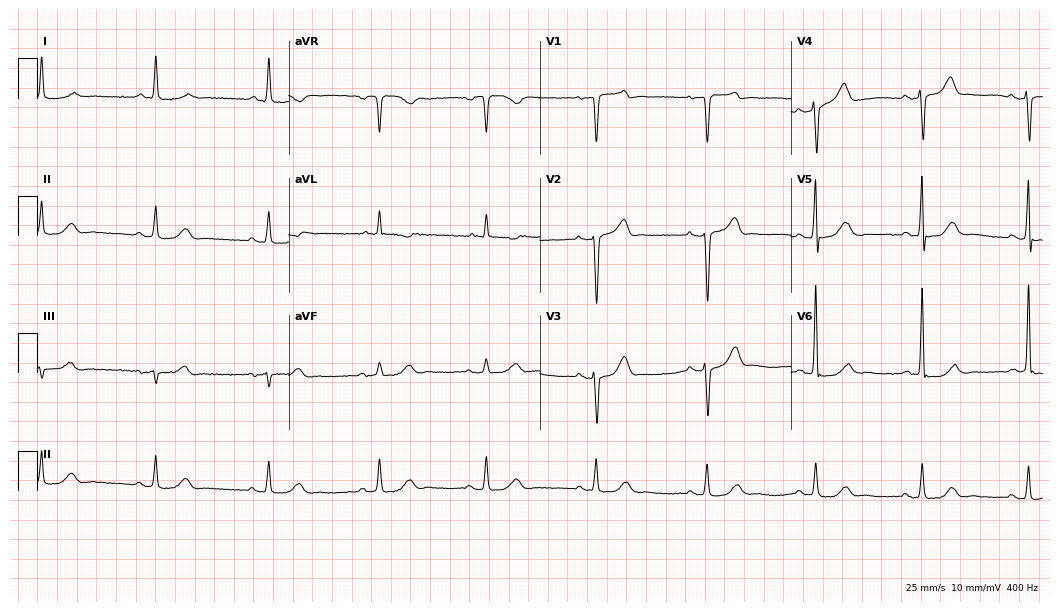
Standard 12-lead ECG recorded from a man, 75 years old. None of these six findings is recorded: first-degree AV block, right bundle branch block, left bundle branch block, sinus bradycardia, atrial fibrillation, sinus tachycardia. Only these six findings were labelled.